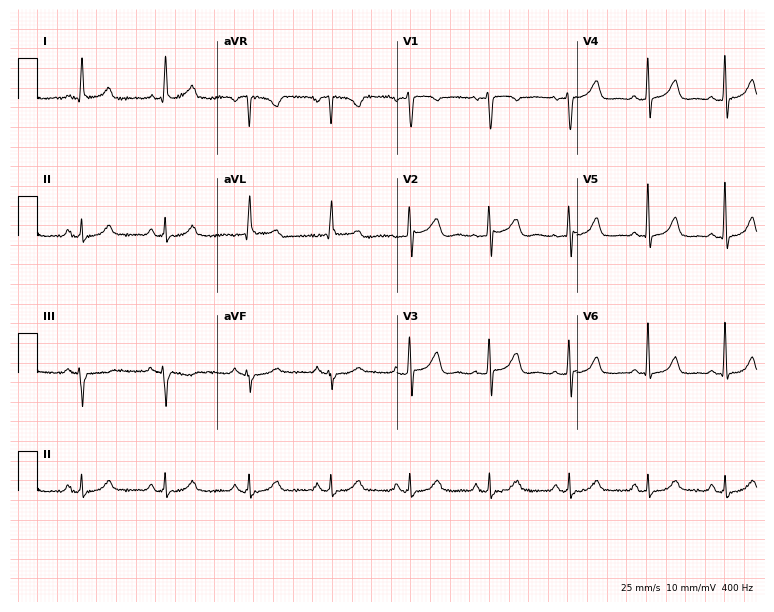
12-lead ECG from a woman, 38 years old. No first-degree AV block, right bundle branch block, left bundle branch block, sinus bradycardia, atrial fibrillation or sinus tachycardia recorded for this tracing. Findings outside these six are not listed.